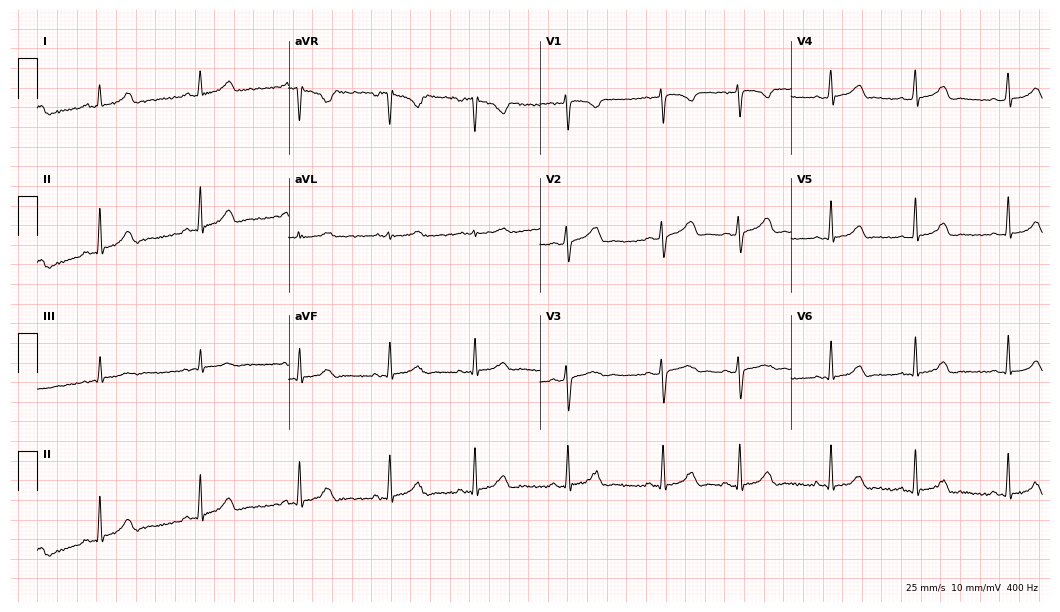
12-lead ECG (10.2-second recording at 400 Hz) from a female patient, 23 years old. Labelled as a normal ECG.